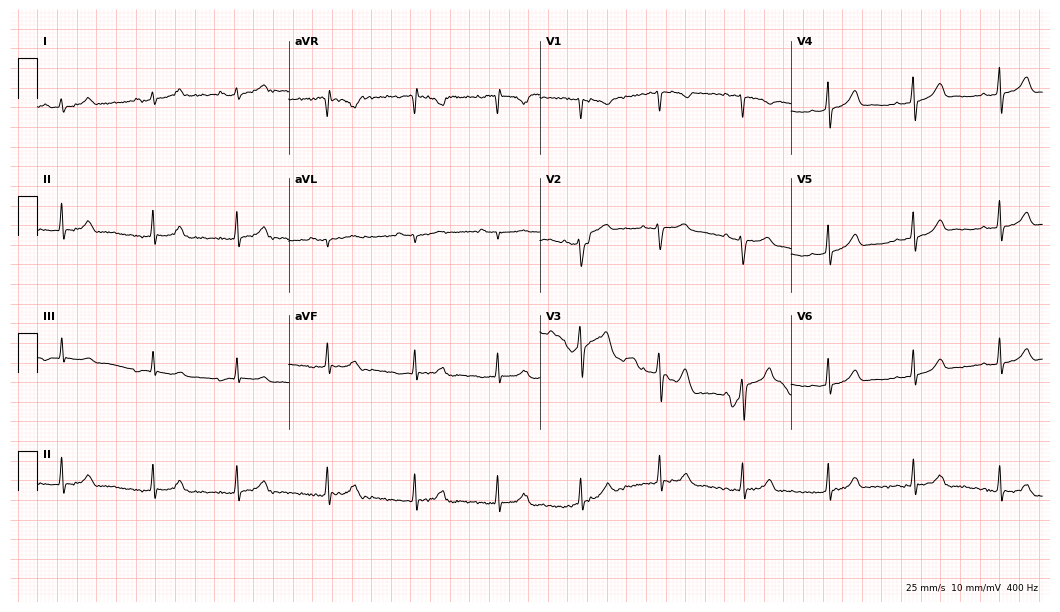
Resting 12-lead electrocardiogram (10.2-second recording at 400 Hz). Patient: a 27-year-old female. Read as a normal ECG.